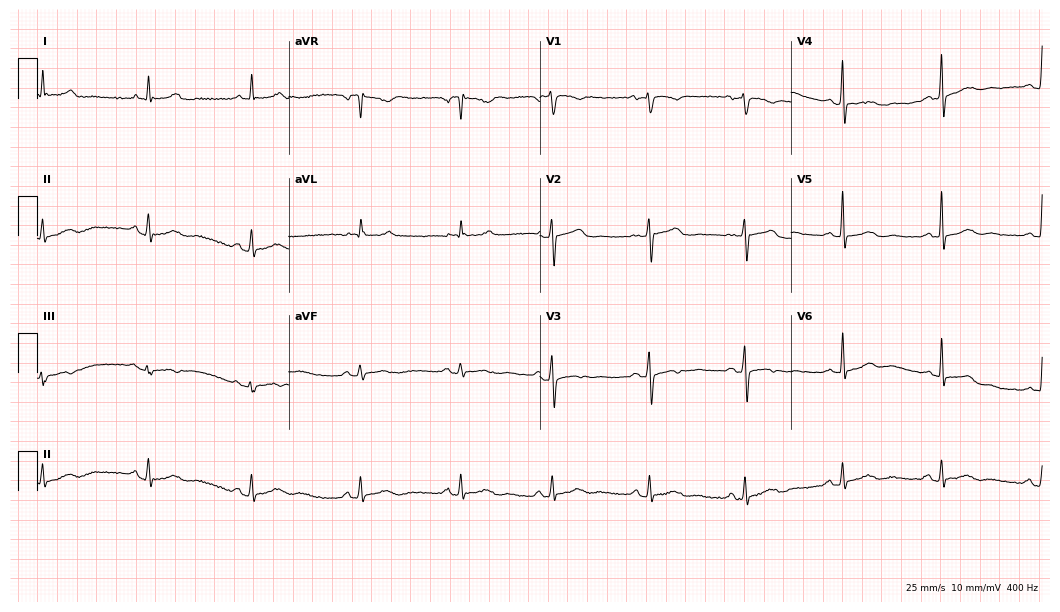
Standard 12-lead ECG recorded from a 72-year-old female (10.2-second recording at 400 Hz). Read as a normal ECG.